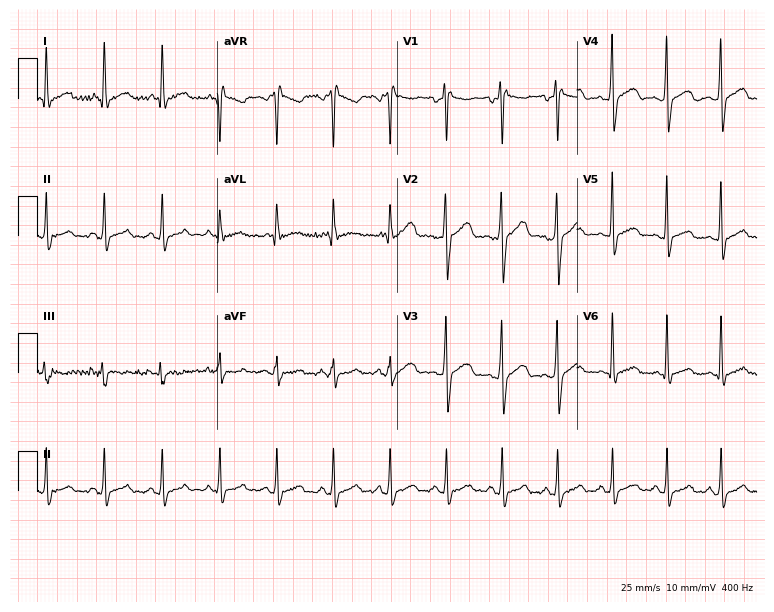
Standard 12-lead ECG recorded from a 41-year-old male patient. The tracing shows sinus tachycardia (a sinus rate of 100 beats per minute or more).